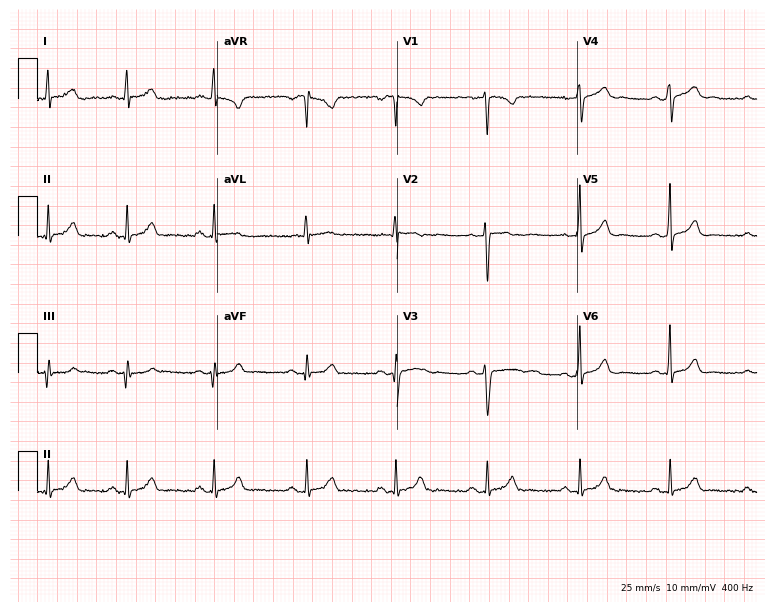
Standard 12-lead ECG recorded from a 23-year-old woman (7.3-second recording at 400 Hz). Read as a normal ECG.